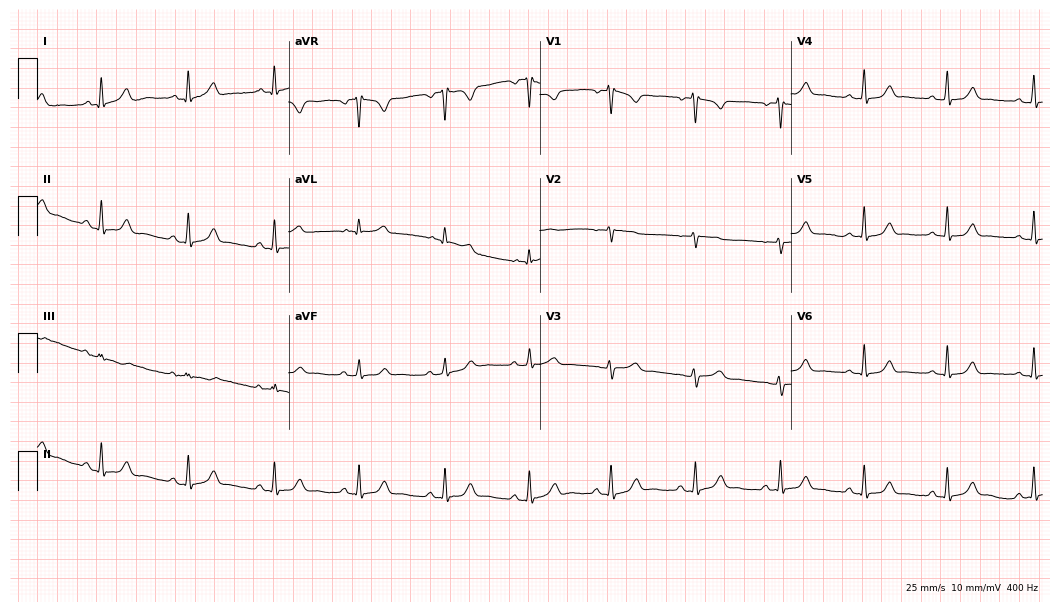
Electrocardiogram, a female, 25 years old. Of the six screened findings (first-degree AV block, right bundle branch block (RBBB), left bundle branch block (LBBB), sinus bradycardia, atrial fibrillation (AF), sinus tachycardia), none is recorded.